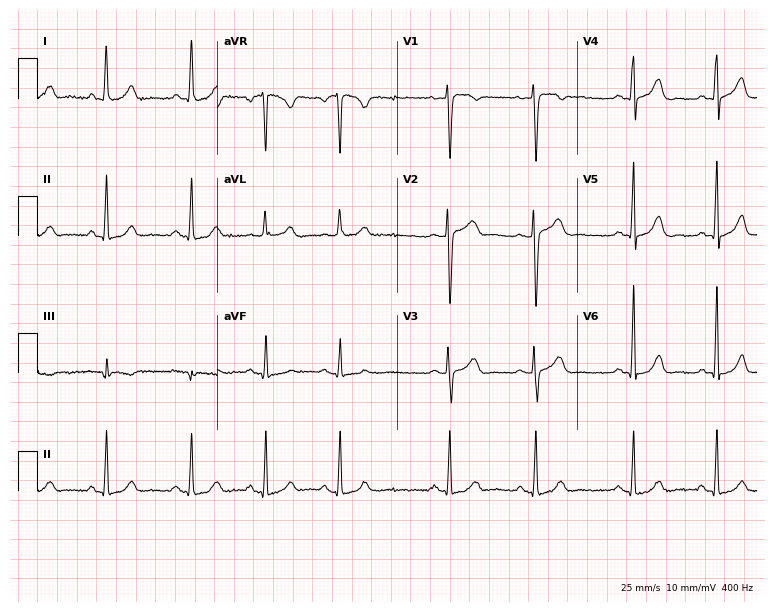
12-lead ECG (7.3-second recording at 400 Hz) from a female, 28 years old. Labelled as a normal ECG.